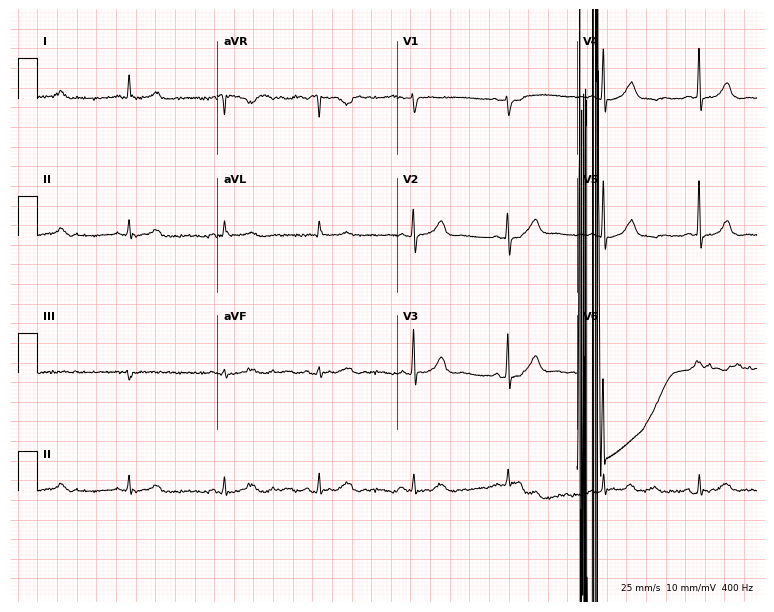
Resting 12-lead electrocardiogram. Patient: a female, 79 years old. Read as a normal ECG.